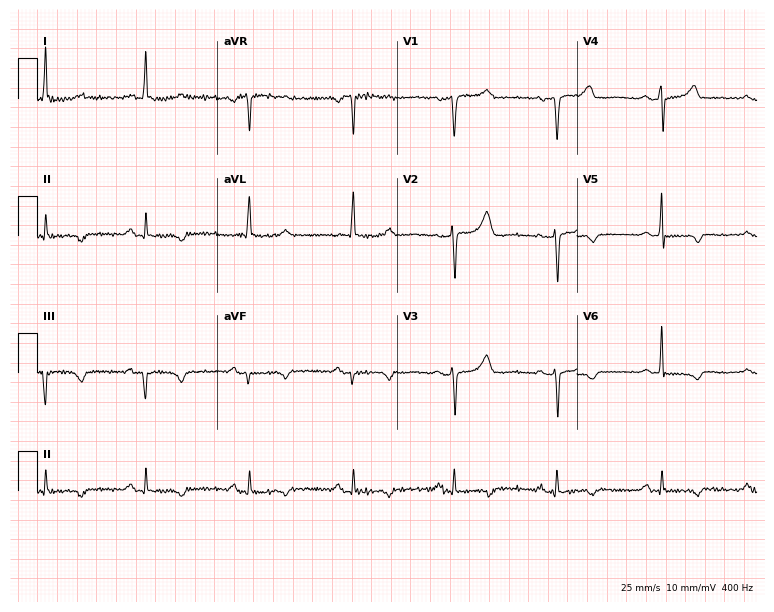
Electrocardiogram (7.3-second recording at 400 Hz), a 58-year-old female patient. Of the six screened findings (first-degree AV block, right bundle branch block, left bundle branch block, sinus bradycardia, atrial fibrillation, sinus tachycardia), none is recorded. Only these six findings were labelled.